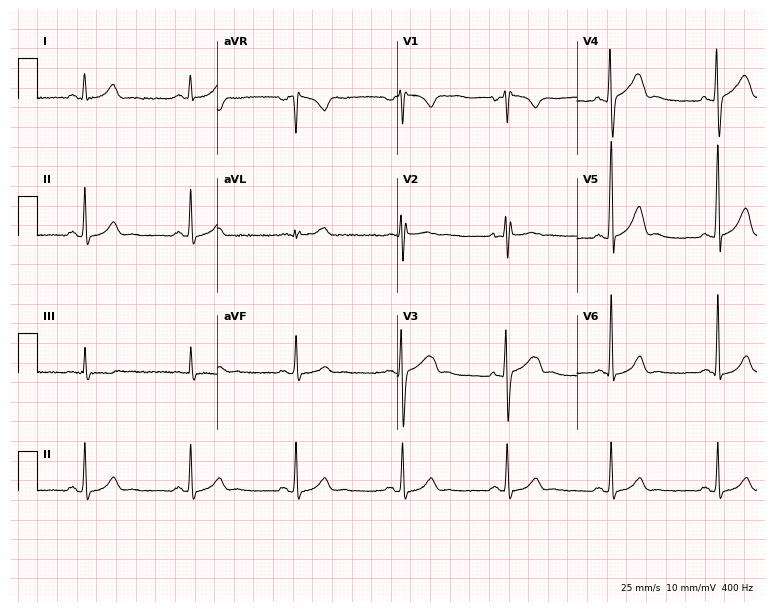
12-lead ECG from a male patient, 30 years old. No first-degree AV block, right bundle branch block, left bundle branch block, sinus bradycardia, atrial fibrillation or sinus tachycardia recorded for this tracing.